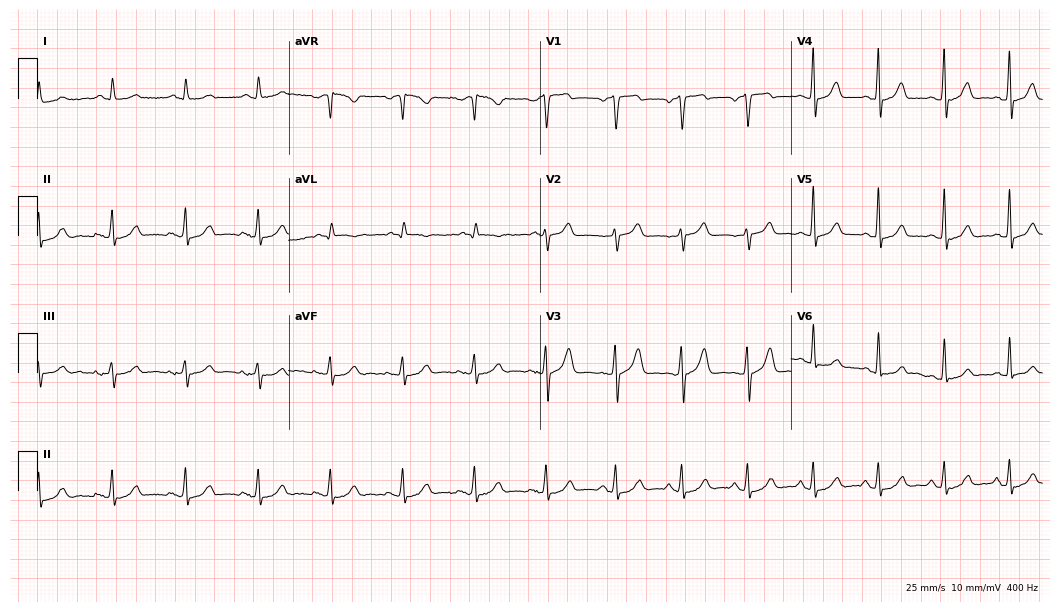
ECG — a 69-year-old male patient. Labelled as a normal ECG.